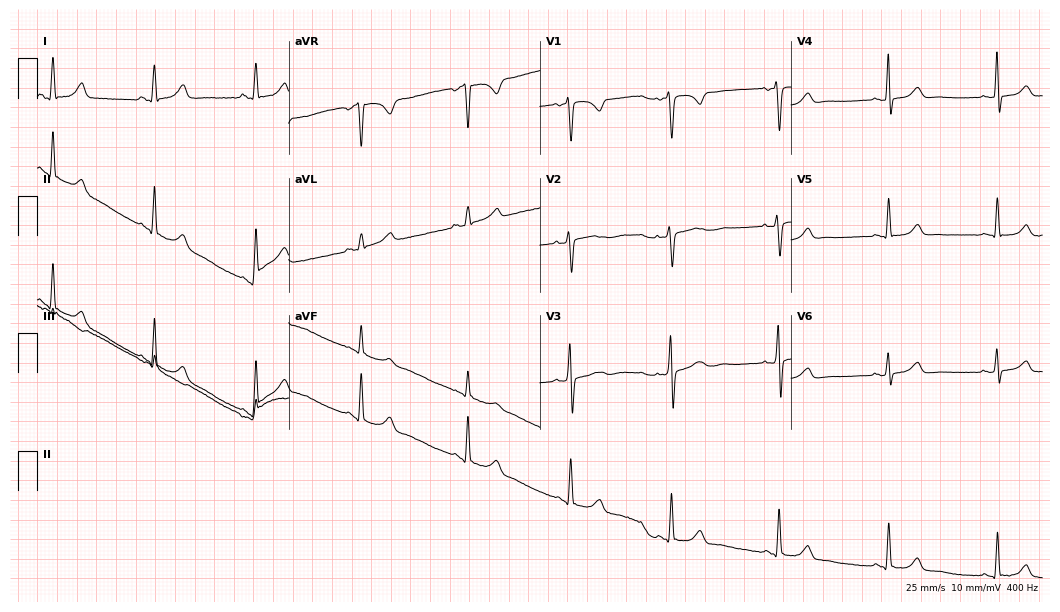
Electrocardiogram, a female, 30 years old. Overall reading on record: normal ECG.